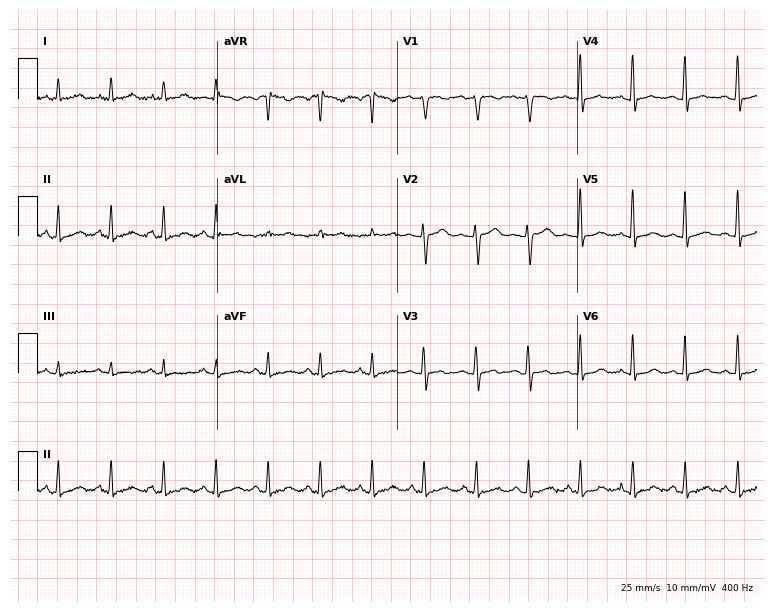
Resting 12-lead electrocardiogram (7.3-second recording at 400 Hz). Patient: a woman, 50 years old. The tracing shows sinus tachycardia (a sinus rate of 100 beats per minute or more).